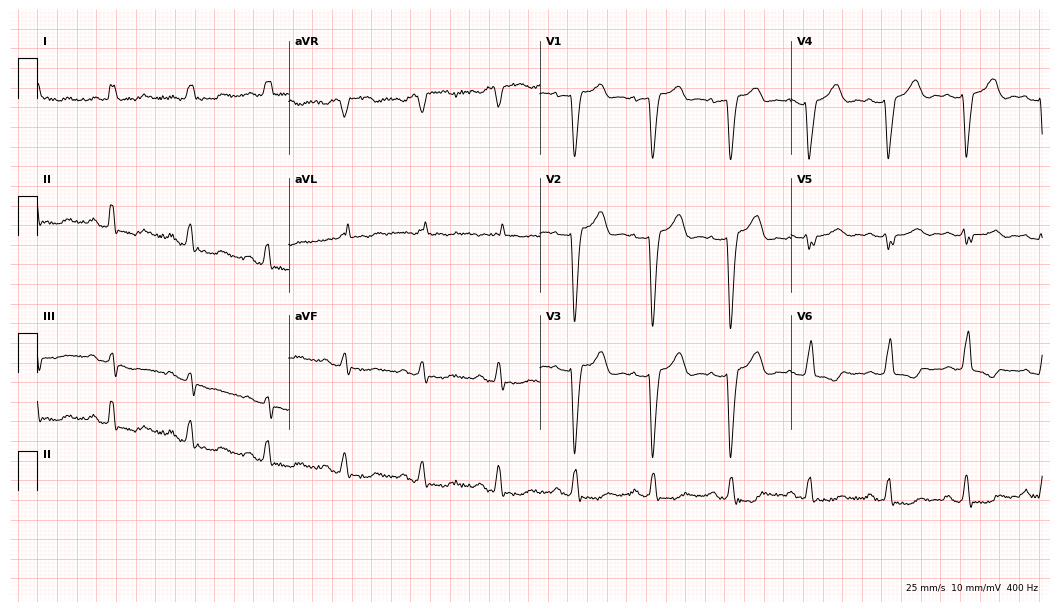
Electrocardiogram (10.2-second recording at 400 Hz), a 74-year-old female patient. Interpretation includes left bundle branch block (LBBB).